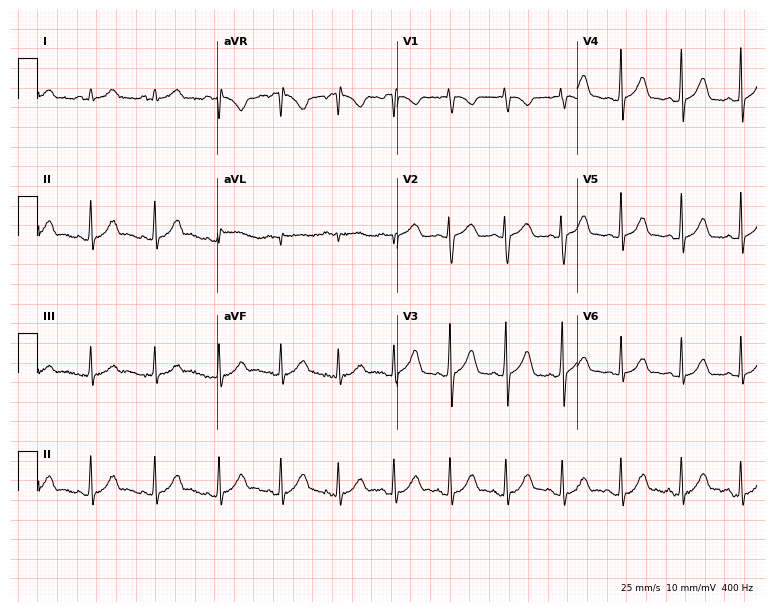
ECG (7.3-second recording at 400 Hz) — an 18-year-old female. Labelled as a normal ECG.